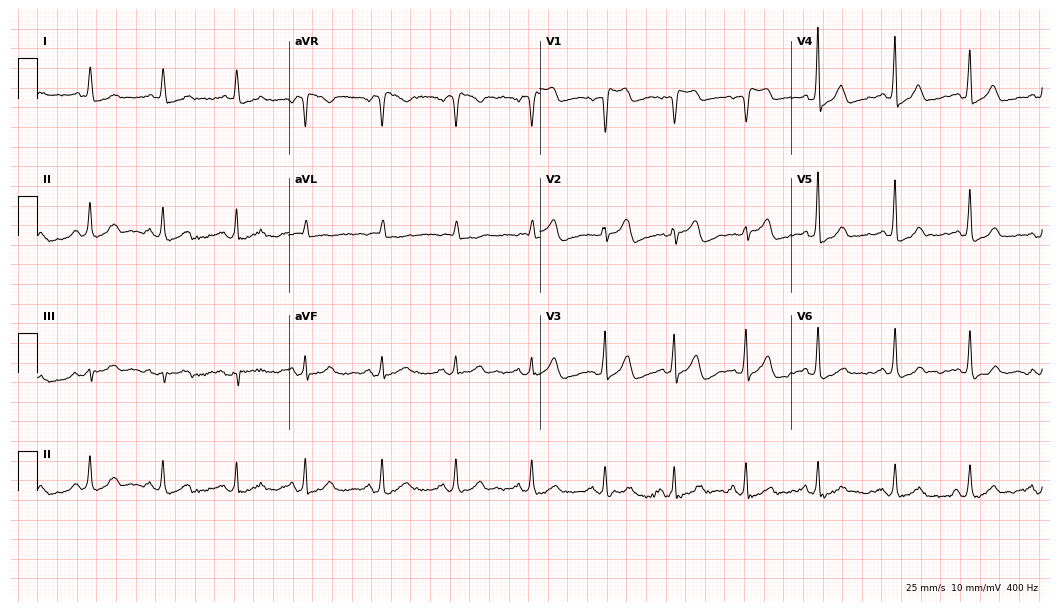
12-lead ECG from a female, 84 years old (10.2-second recording at 400 Hz). Recorded interpretation: within normal limits.